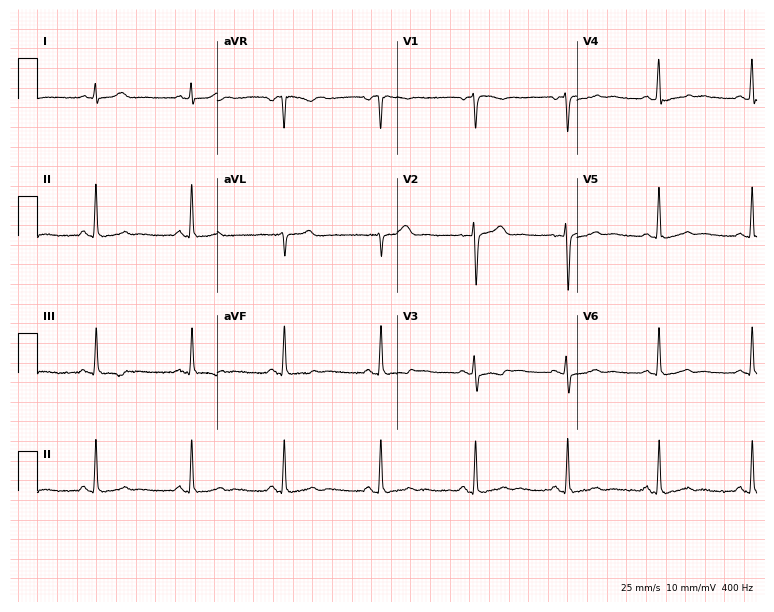
Resting 12-lead electrocardiogram (7.3-second recording at 400 Hz). Patient: a 31-year-old female. None of these six findings is recorded: first-degree AV block, right bundle branch block, left bundle branch block, sinus bradycardia, atrial fibrillation, sinus tachycardia. Only these six findings were labelled.